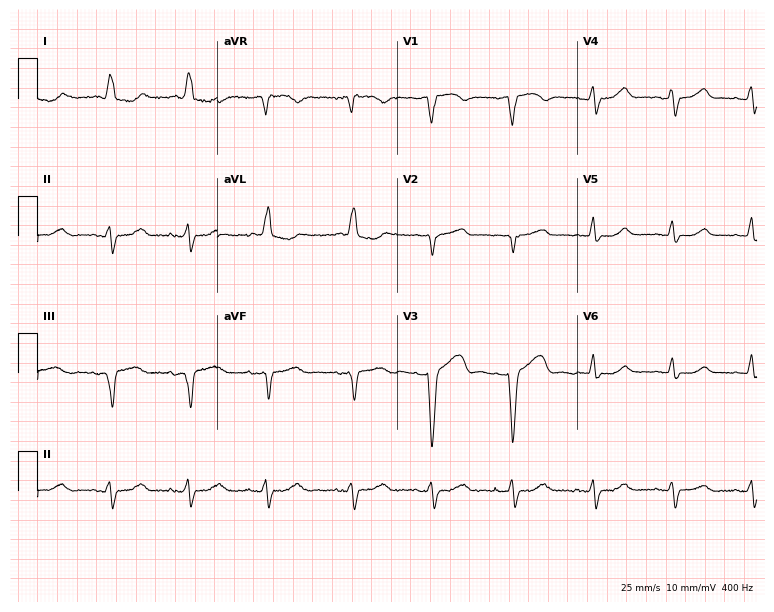
12-lead ECG from a woman, 84 years old (7.3-second recording at 400 Hz). Shows left bundle branch block.